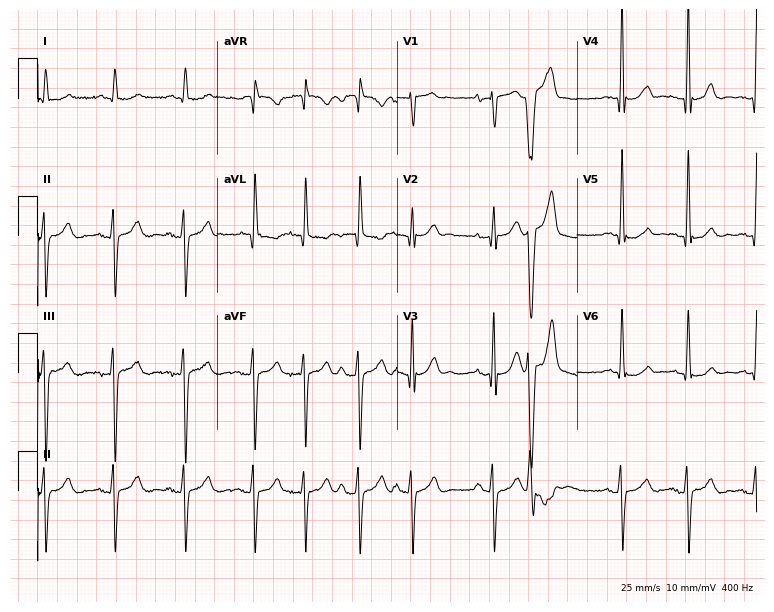
Standard 12-lead ECG recorded from an 83-year-old man. None of these six findings is recorded: first-degree AV block, right bundle branch block, left bundle branch block, sinus bradycardia, atrial fibrillation, sinus tachycardia. Other findings, if any, are not listed.